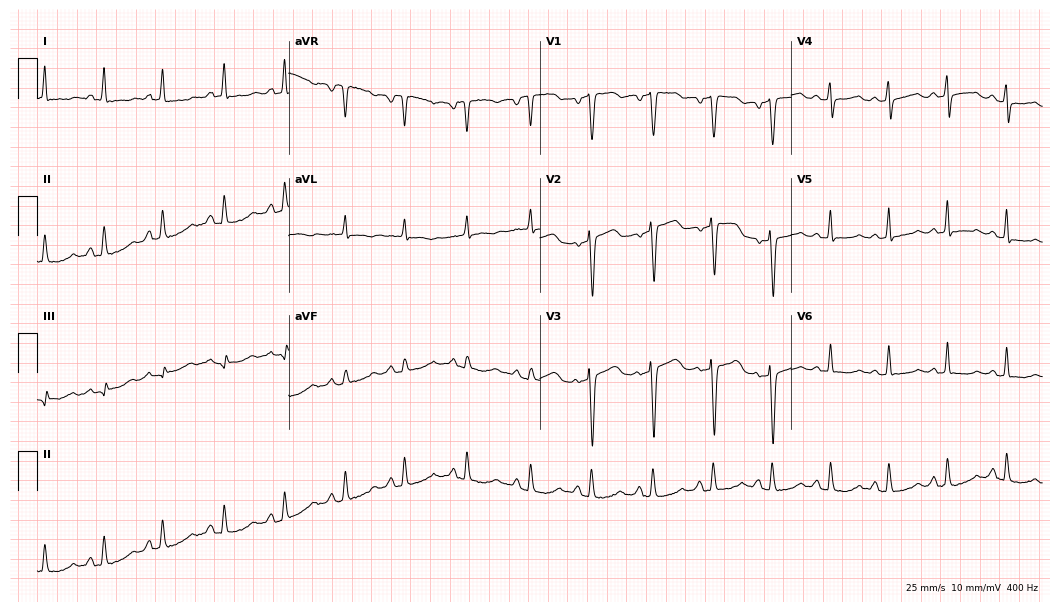
Standard 12-lead ECG recorded from a 72-year-old female. Read as a normal ECG.